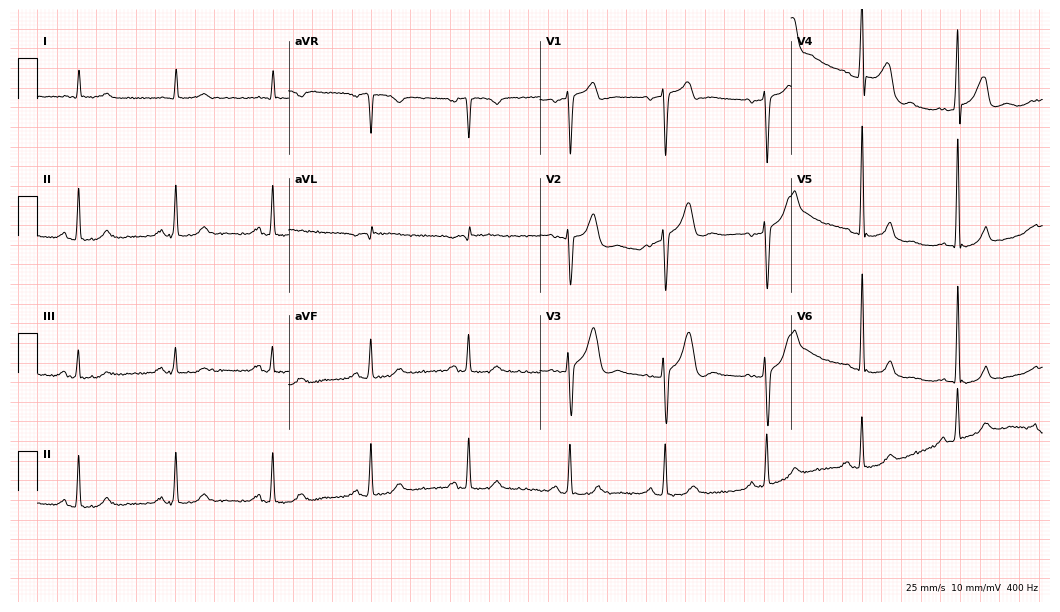
ECG (10.2-second recording at 400 Hz) — a 65-year-old male patient. Screened for six findings — first-degree AV block, right bundle branch block, left bundle branch block, sinus bradycardia, atrial fibrillation, sinus tachycardia — none is recorded.